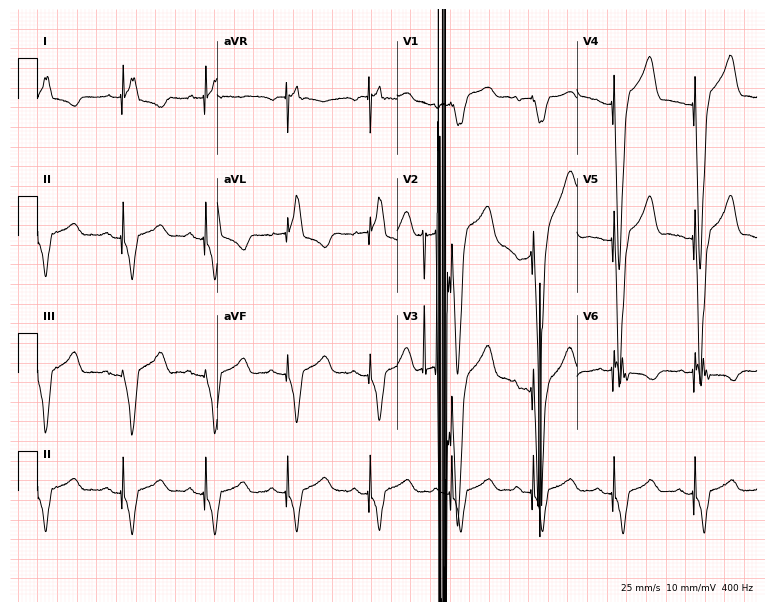
Resting 12-lead electrocardiogram. Patient: a female, 82 years old. None of these six findings is recorded: first-degree AV block, right bundle branch block, left bundle branch block, sinus bradycardia, atrial fibrillation, sinus tachycardia. Only these six findings were labelled.